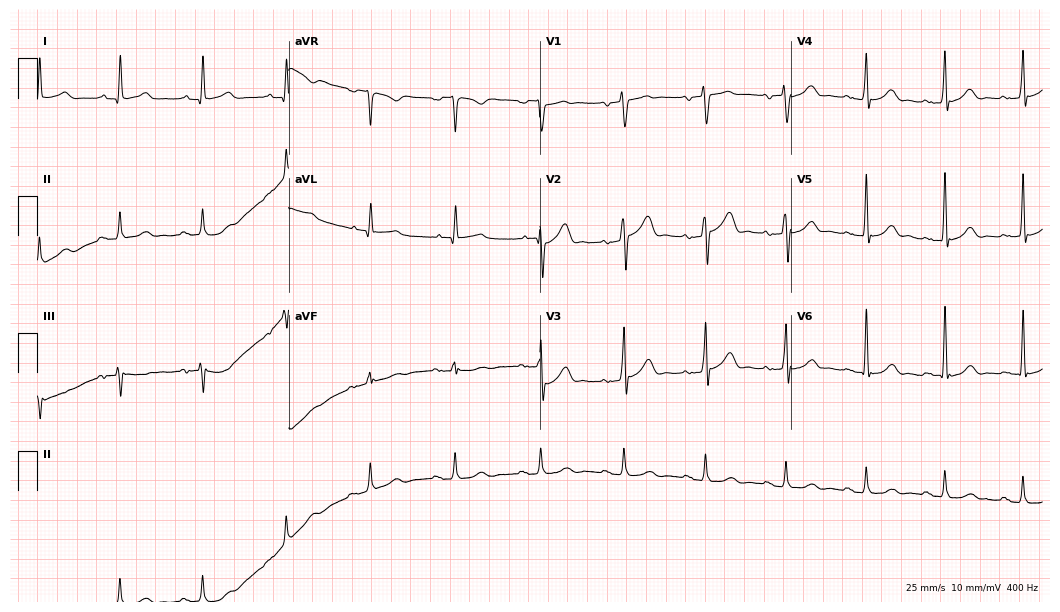
12-lead ECG from a male patient, 57 years old (10.2-second recording at 400 Hz). No first-degree AV block, right bundle branch block, left bundle branch block, sinus bradycardia, atrial fibrillation or sinus tachycardia recorded for this tracing. Findings outside these six are not listed.